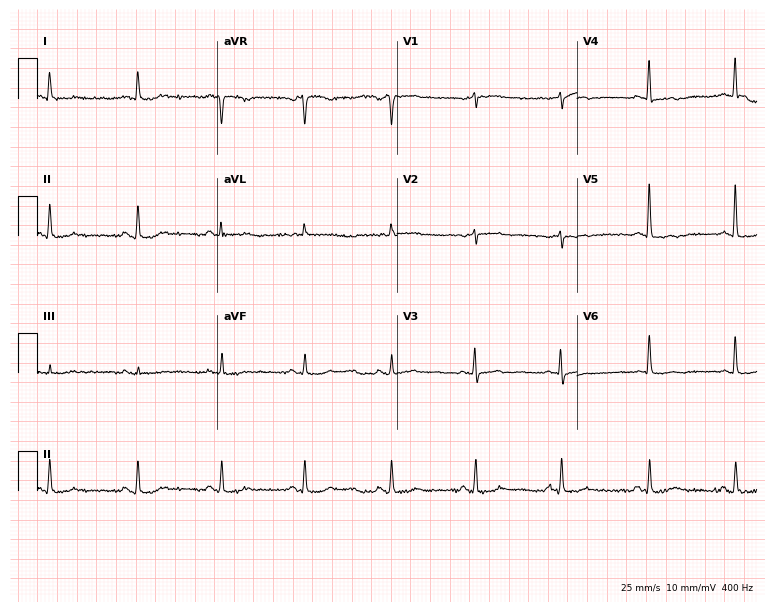
Standard 12-lead ECG recorded from a 76-year-old female patient (7.3-second recording at 400 Hz). None of these six findings is recorded: first-degree AV block, right bundle branch block, left bundle branch block, sinus bradycardia, atrial fibrillation, sinus tachycardia.